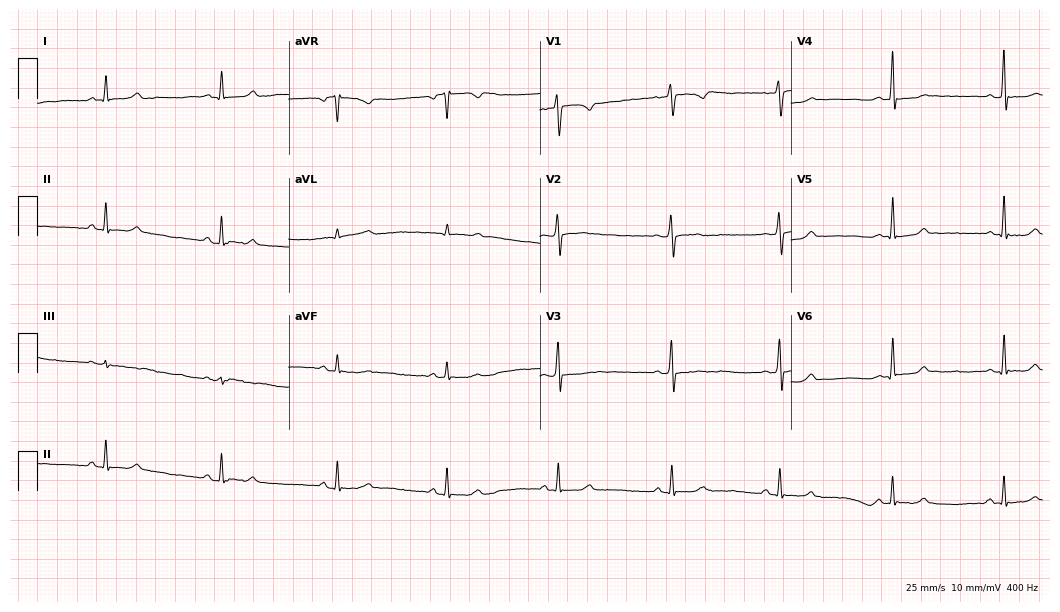
Resting 12-lead electrocardiogram. Patient: a female, 51 years old. None of these six findings is recorded: first-degree AV block, right bundle branch block (RBBB), left bundle branch block (LBBB), sinus bradycardia, atrial fibrillation (AF), sinus tachycardia.